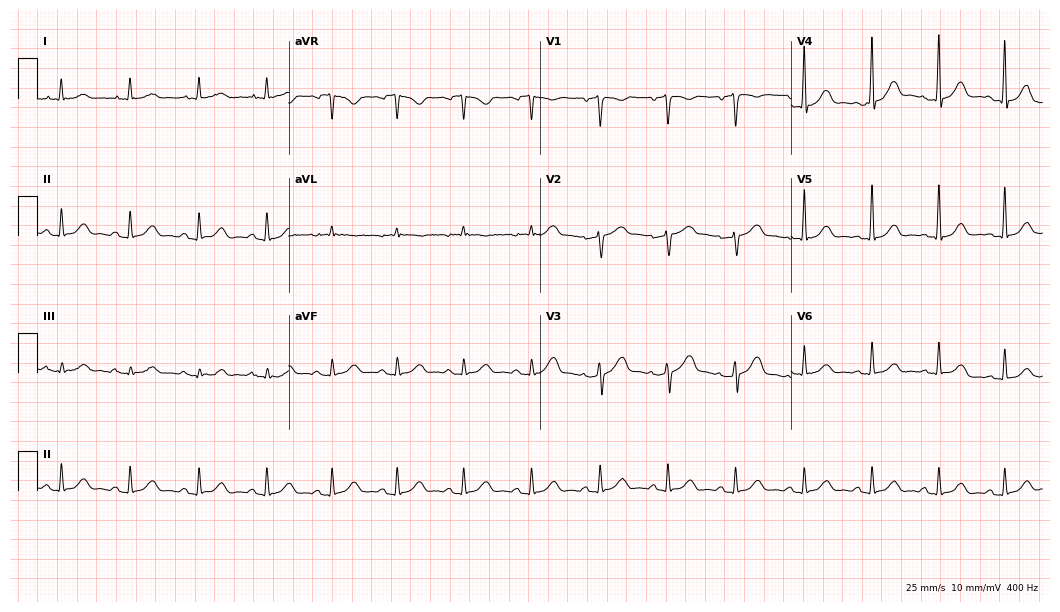
Standard 12-lead ECG recorded from a male patient, 59 years old. Read as a normal ECG.